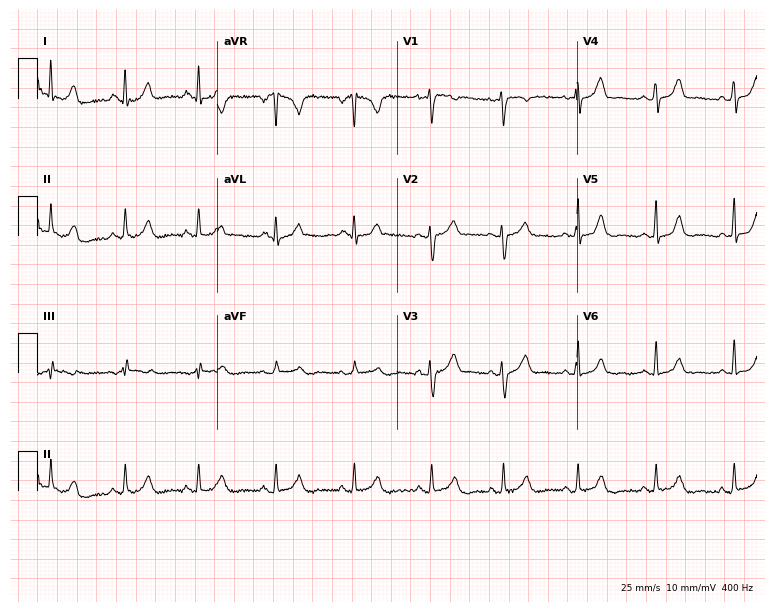
Resting 12-lead electrocardiogram (7.3-second recording at 400 Hz). Patient: a woman, 40 years old. Read as a normal ECG.